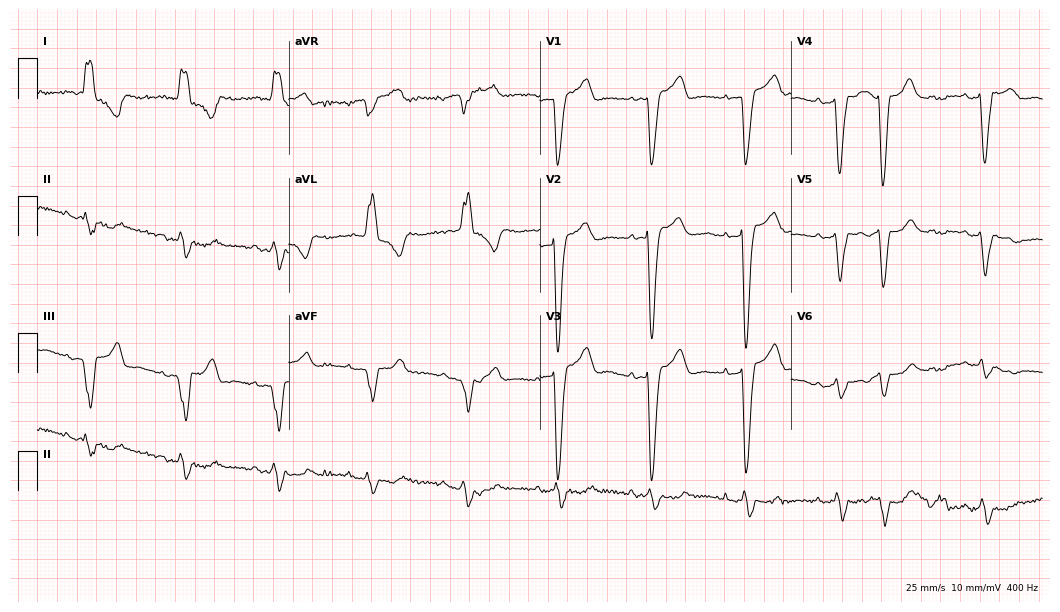
12-lead ECG from a female, 69 years old. Screened for six findings — first-degree AV block, right bundle branch block (RBBB), left bundle branch block (LBBB), sinus bradycardia, atrial fibrillation (AF), sinus tachycardia — none is recorded. Findings outside these six are not listed.